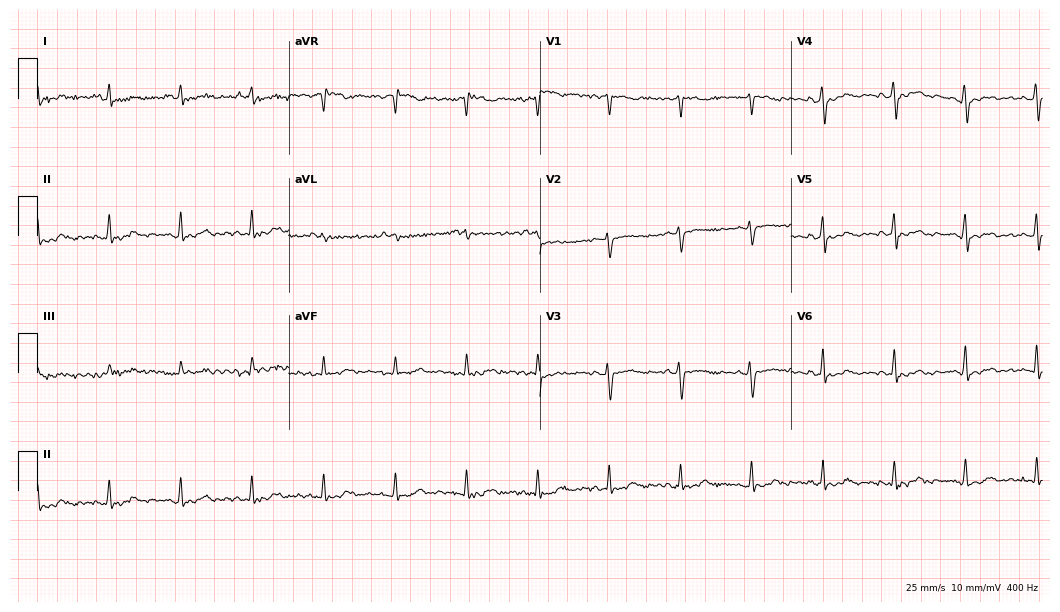
Standard 12-lead ECG recorded from a woman, 63 years old (10.2-second recording at 400 Hz). None of these six findings is recorded: first-degree AV block, right bundle branch block (RBBB), left bundle branch block (LBBB), sinus bradycardia, atrial fibrillation (AF), sinus tachycardia. Only these six findings were labelled.